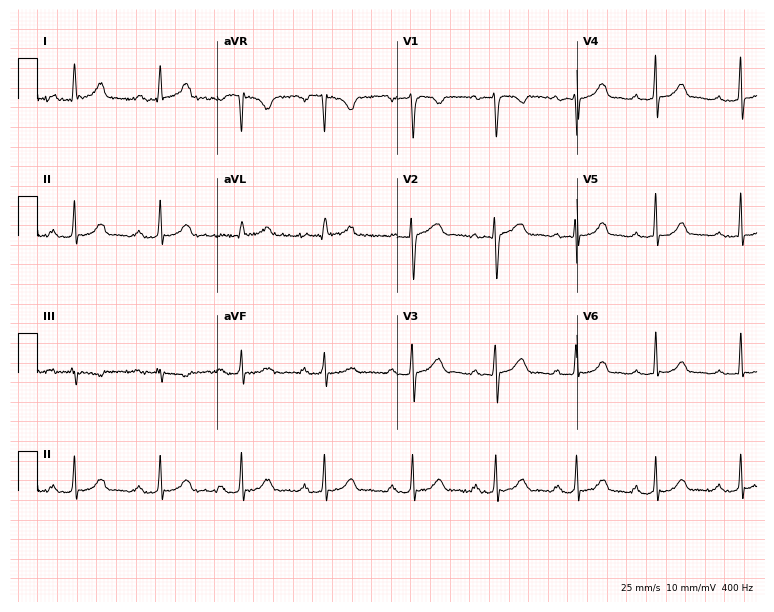
12-lead ECG from a female, 61 years old (7.3-second recording at 400 Hz). Recorded interpretation: within normal limits.